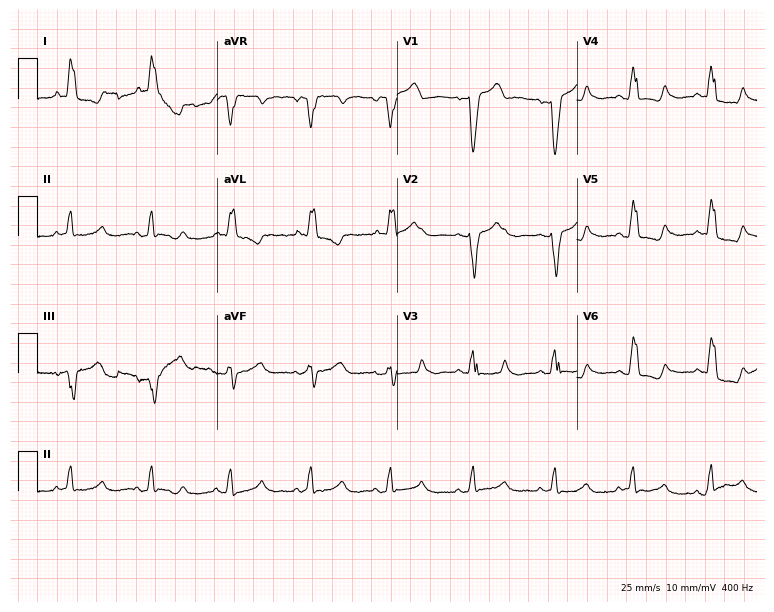
12-lead ECG (7.3-second recording at 400 Hz) from a female patient, 71 years old. Findings include left bundle branch block.